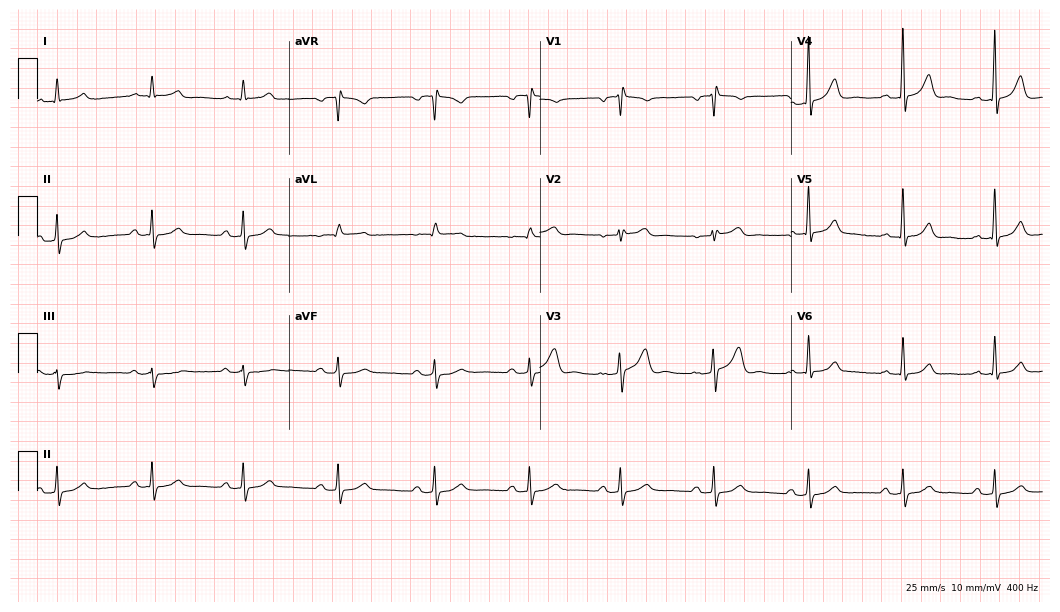
ECG — a male patient, 47 years old. Labelled as a normal ECG.